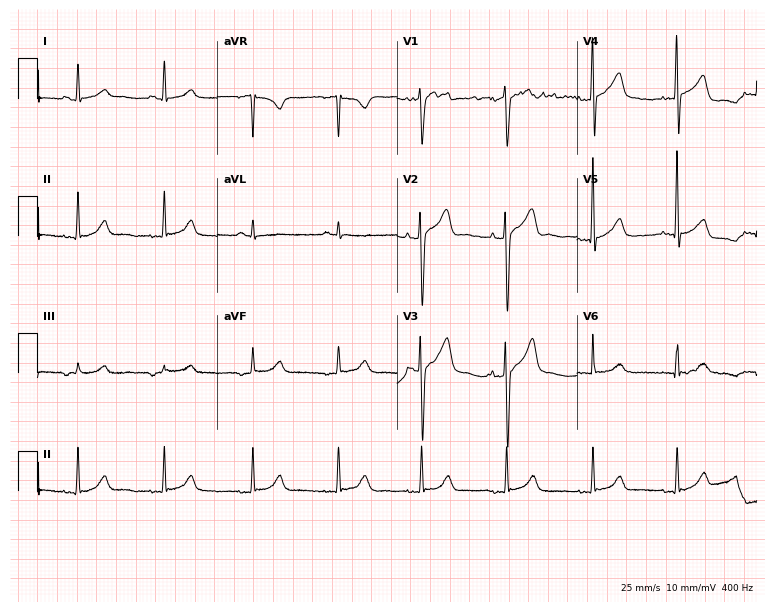
ECG — a male patient, 72 years old. Labelled as a normal ECG.